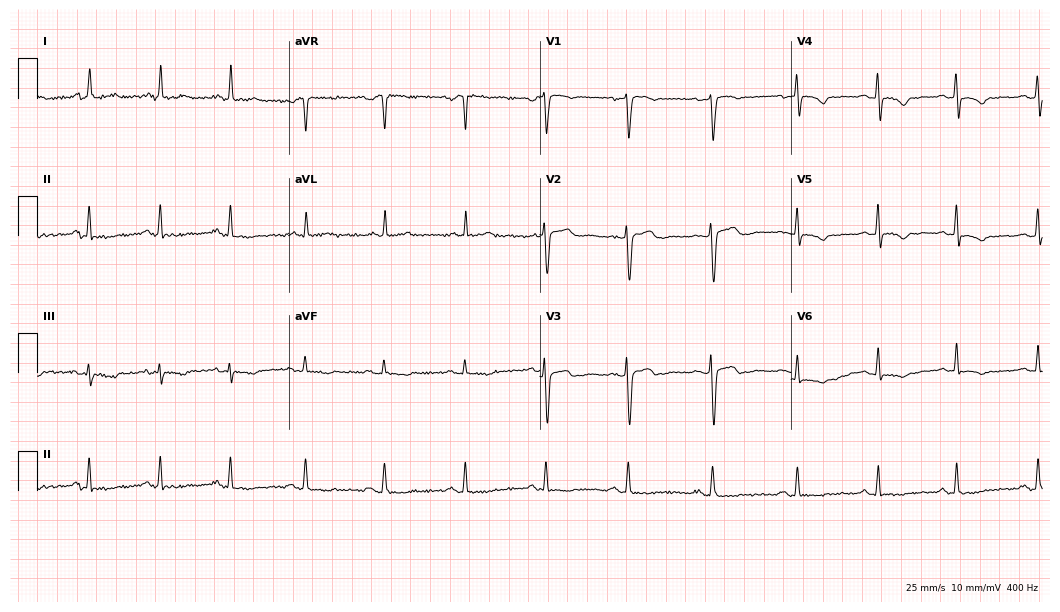
ECG (10.2-second recording at 400 Hz) — a woman, 37 years old. Screened for six findings — first-degree AV block, right bundle branch block, left bundle branch block, sinus bradycardia, atrial fibrillation, sinus tachycardia — none is recorded. Only these six findings were labelled.